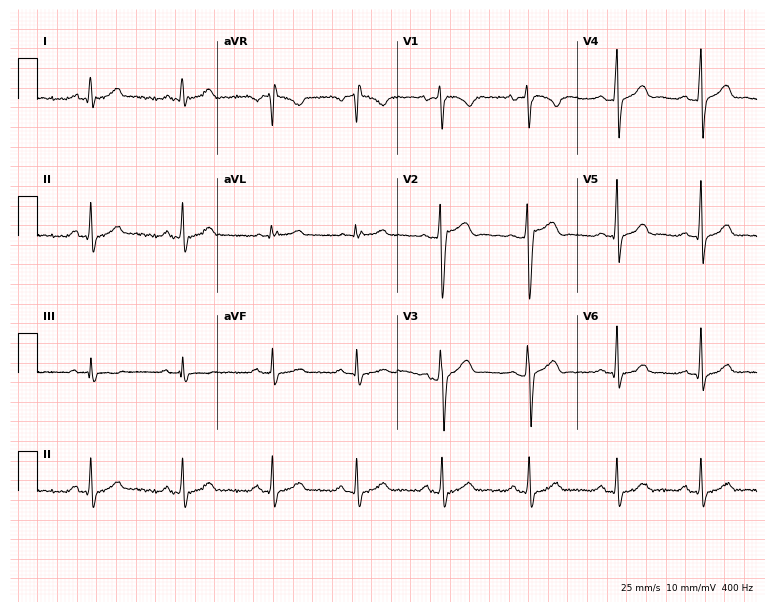
12-lead ECG from a male, 32 years old. Screened for six findings — first-degree AV block, right bundle branch block (RBBB), left bundle branch block (LBBB), sinus bradycardia, atrial fibrillation (AF), sinus tachycardia — none is recorded.